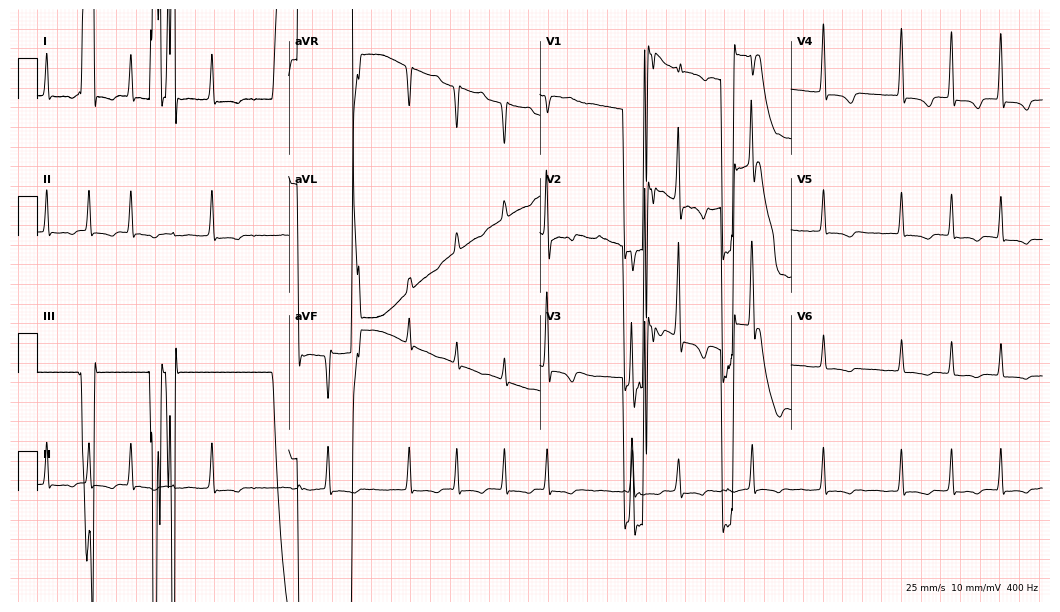
12-lead ECG from a woman, 68 years old (10.2-second recording at 400 Hz). No first-degree AV block, right bundle branch block, left bundle branch block, sinus bradycardia, atrial fibrillation or sinus tachycardia recorded for this tracing.